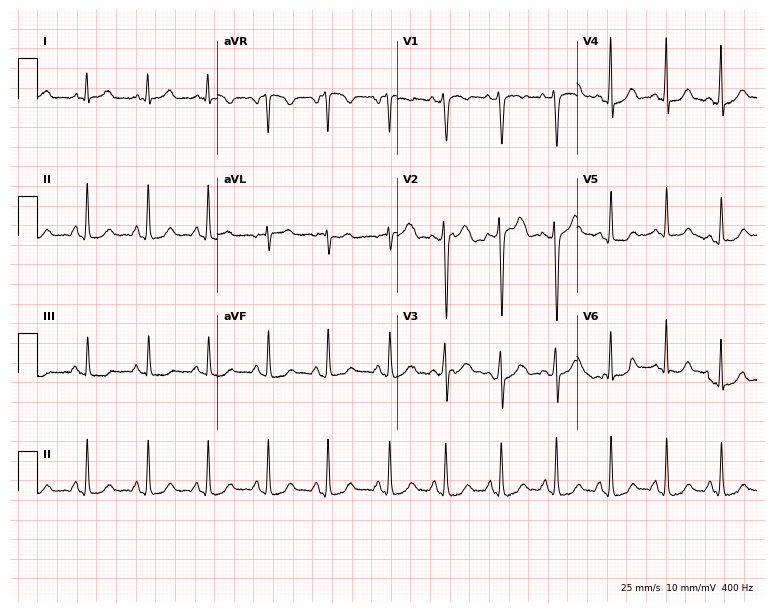
12-lead ECG from a female, 28 years old. Recorded interpretation: within normal limits.